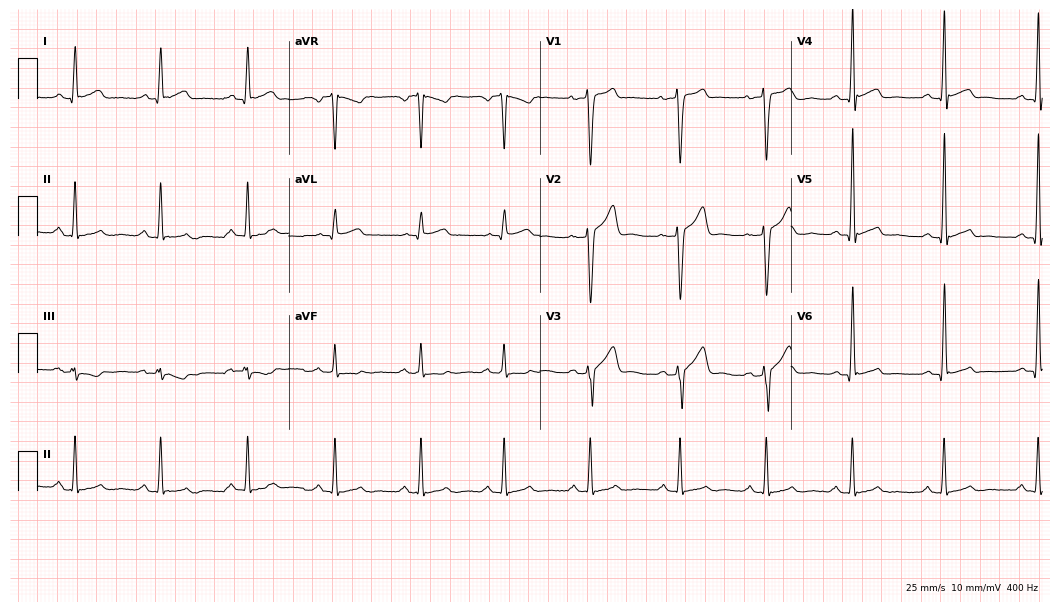
ECG (10.2-second recording at 400 Hz) — a man, 28 years old. Screened for six findings — first-degree AV block, right bundle branch block, left bundle branch block, sinus bradycardia, atrial fibrillation, sinus tachycardia — none is recorded.